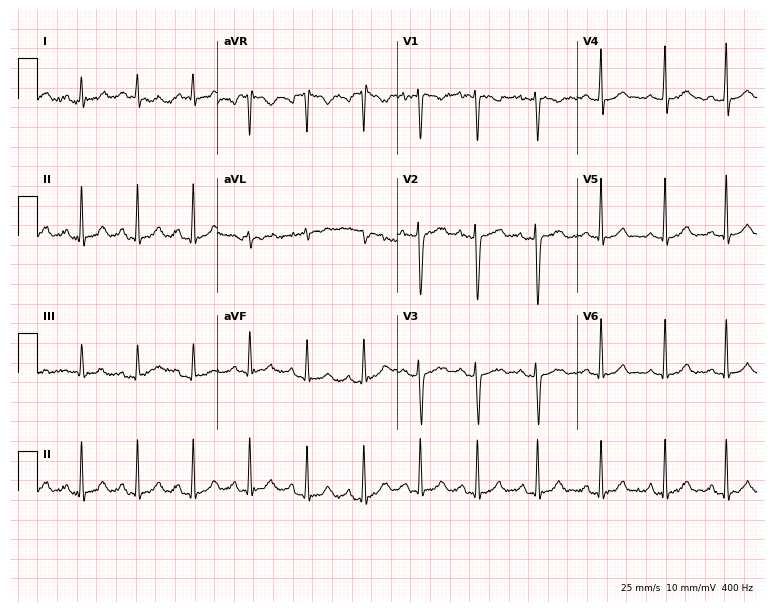
12-lead ECG from a 23-year-old female. Findings include sinus tachycardia (a sinus rate of 100 beats per minute or more).